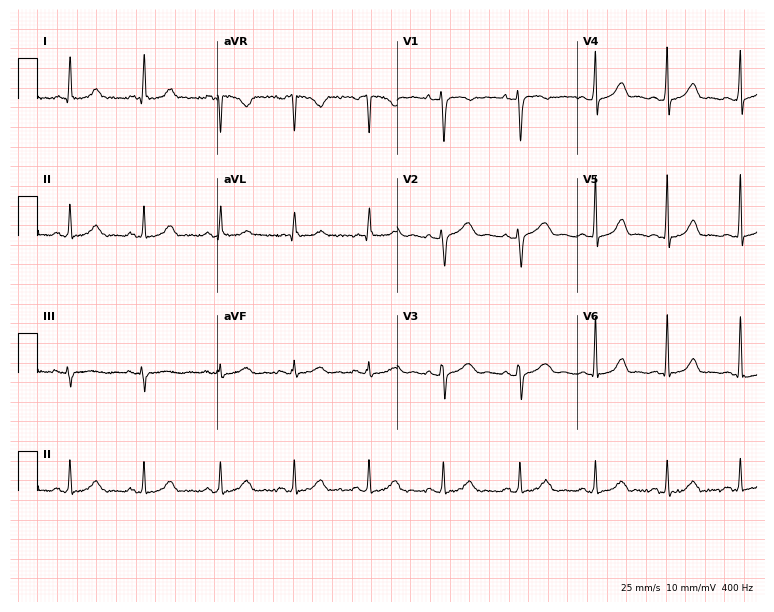
12-lead ECG (7.3-second recording at 400 Hz) from a 30-year-old female. Labelled as a normal ECG.